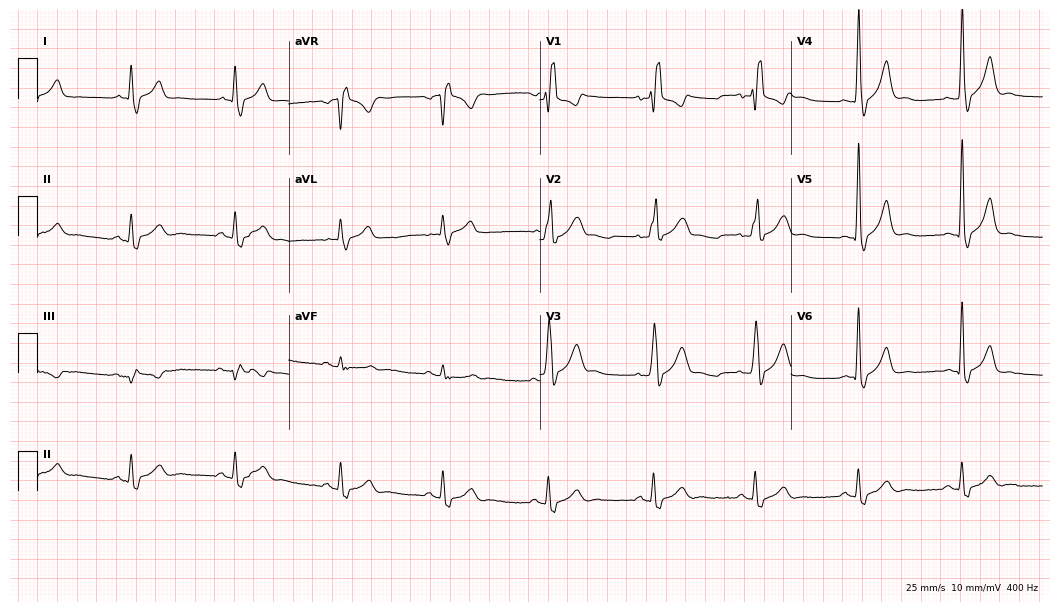
12-lead ECG from a male, 48 years old (10.2-second recording at 400 Hz). No first-degree AV block, right bundle branch block, left bundle branch block, sinus bradycardia, atrial fibrillation or sinus tachycardia recorded for this tracing.